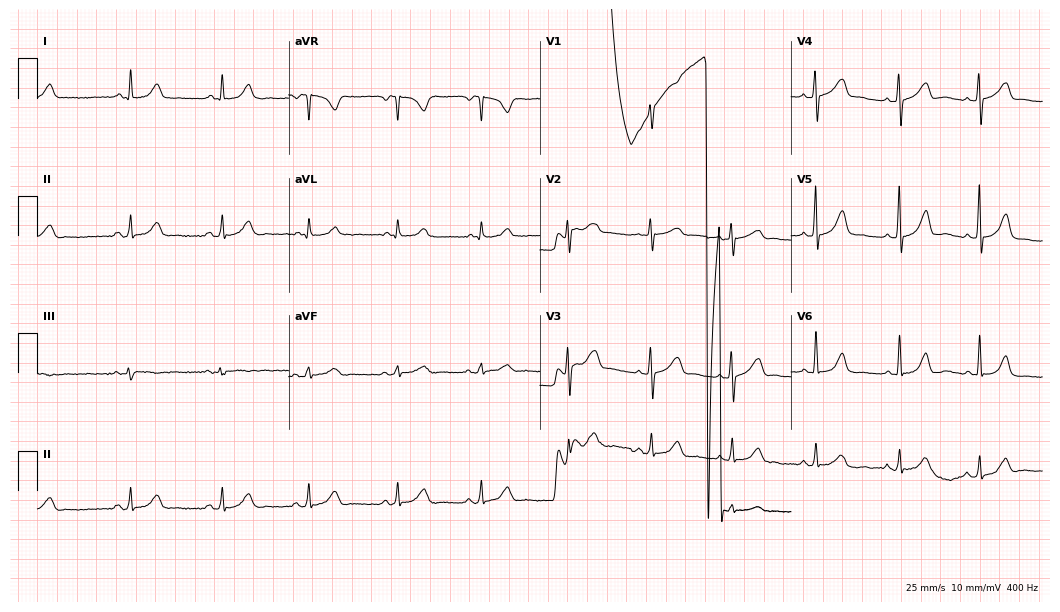
Standard 12-lead ECG recorded from a woman, 37 years old (10.2-second recording at 400 Hz). None of these six findings is recorded: first-degree AV block, right bundle branch block, left bundle branch block, sinus bradycardia, atrial fibrillation, sinus tachycardia. Other findings, if any, are not listed.